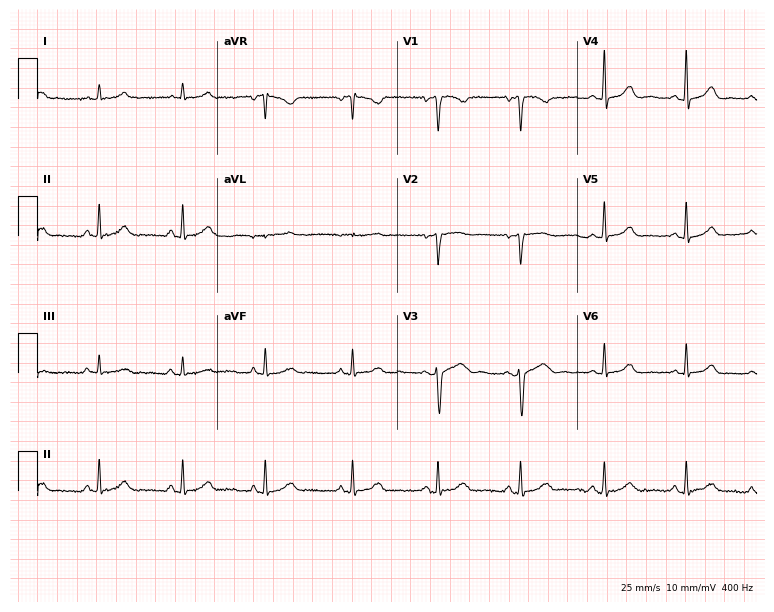
12-lead ECG (7.3-second recording at 400 Hz) from a 37-year-old female patient. Labelled as a normal ECG.